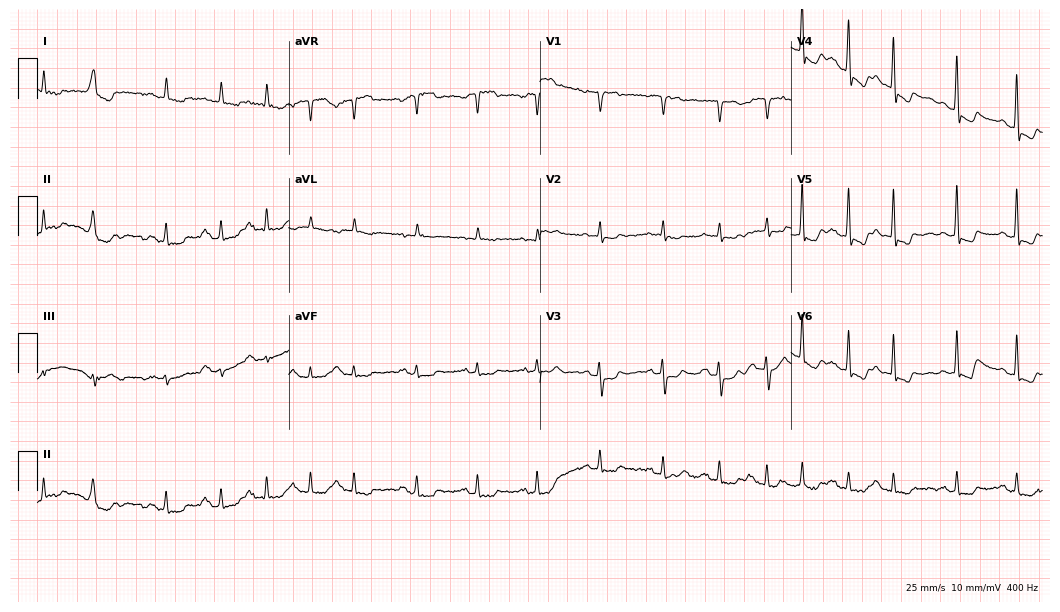
ECG — a male patient, 84 years old. Screened for six findings — first-degree AV block, right bundle branch block (RBBB), left bundle branch block (LBBB), sinus bradycardia, atrial fibrillation (AF), sinus tachycardia — none is recorded. Other findings, if any, are not listed.